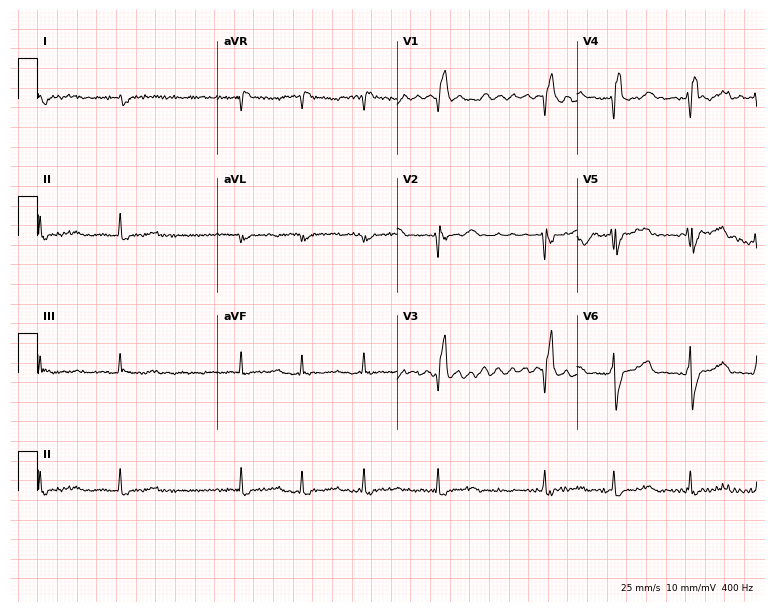
12-lead ECG from a 77-year-old woman. Findings include right bundle branch block, atrial fibrillation.